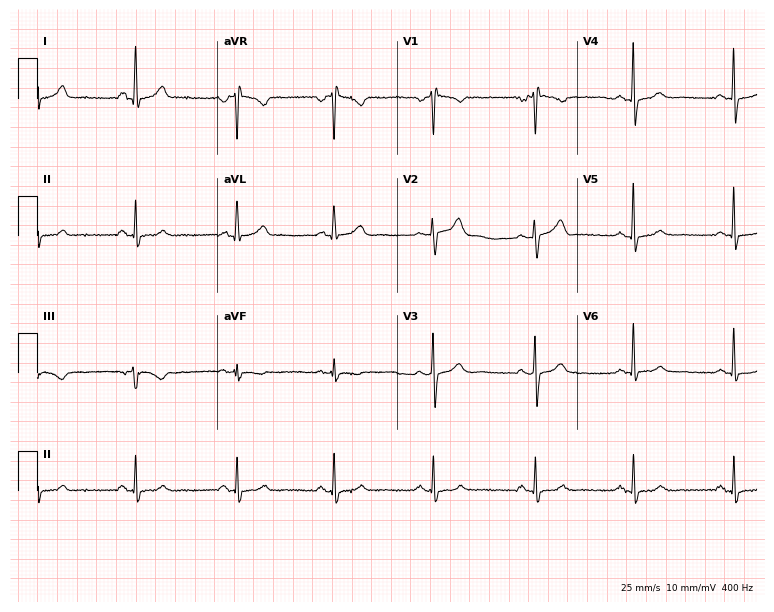
Electrocardiogram (7.3-second recording at 400 Hz), a 63-year-old female. Of the six screened findings (first-degree AV block, right bundle branch block (RBBB), left bundle branch block (LBBB), sinus bradycardia, atrial fibrillation (AF), sinus tachycardia), none is recorded.